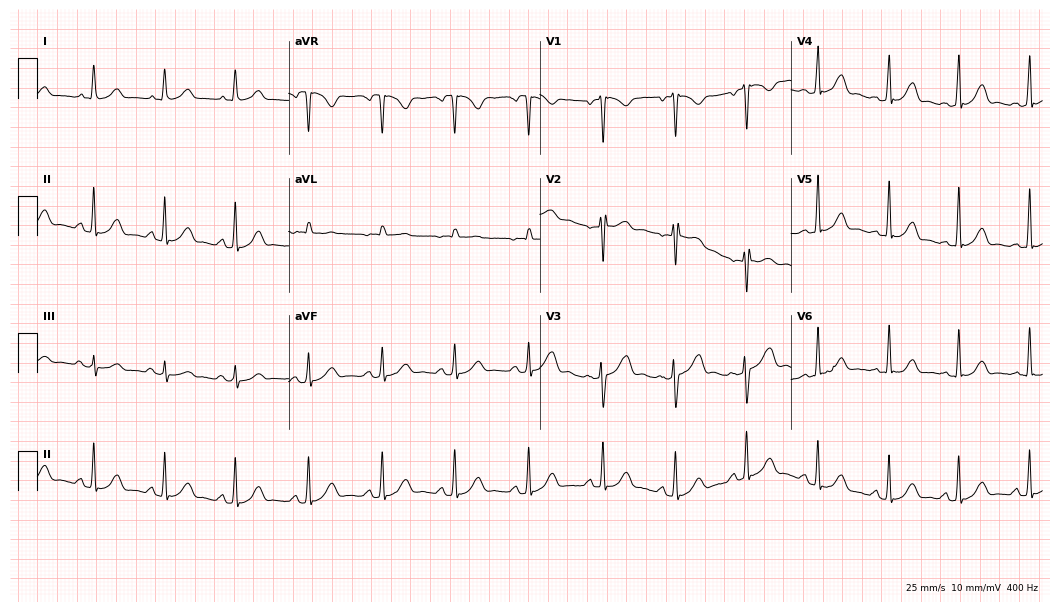
Electrocardiogram (10.2-second recording at 400 Hz), a 35-year-old female patient. Overall reading on record: normal ECG.